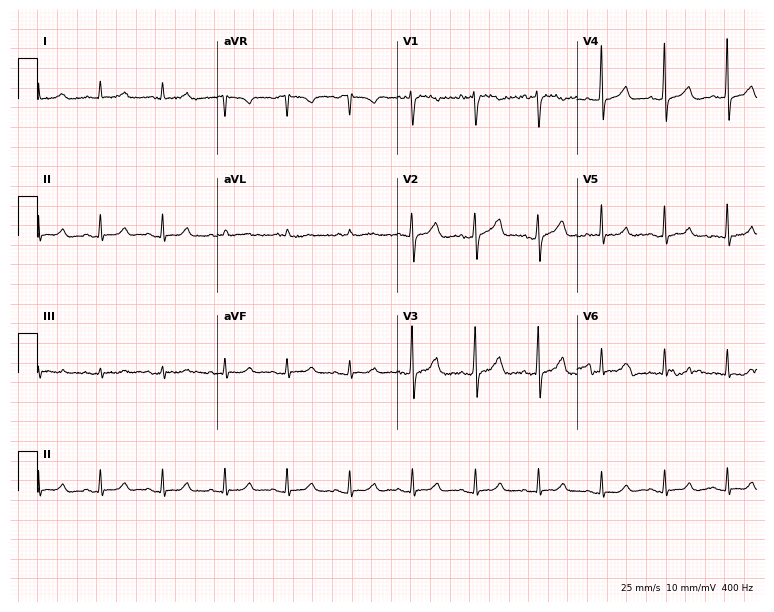
12-lead ECG from a 70-year-old woman. Screened for six findings — first-degree AV block, right bundle branch block, left bundle branch block, sinus bradycardia, atrial fibrillation, sinus tachycardia — none is recorded. Findings outside these six are not listed.